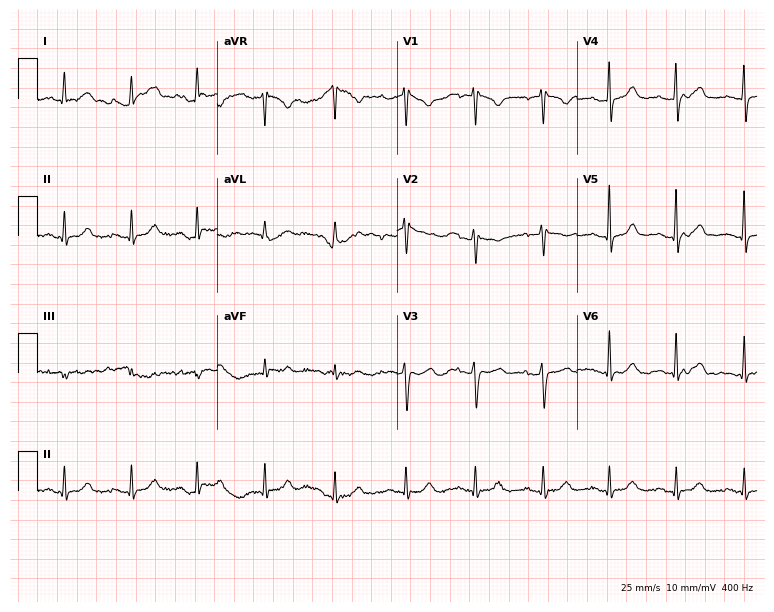
Resting 12-lead electrocardiogram. Patient: a 49-year-old female. Read as a normal ECG.